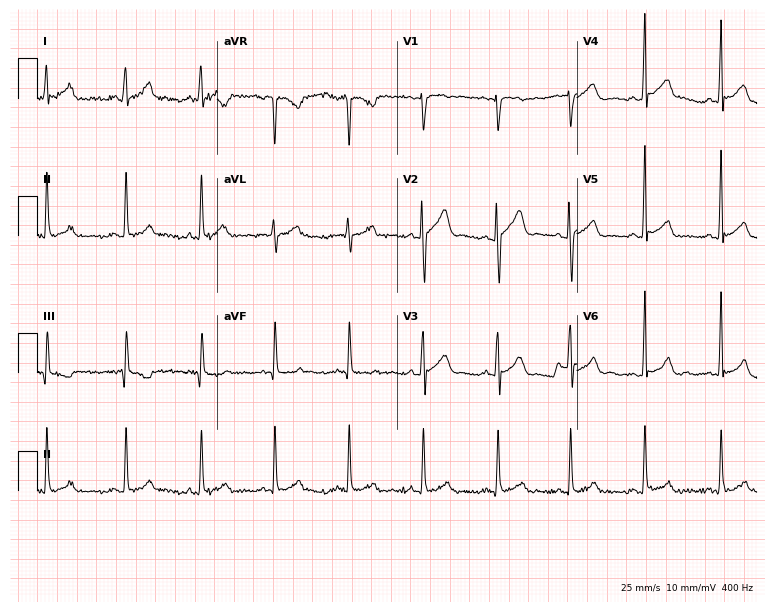
12-lead ECG from a male, 29 years old. Labelled as a normal ECG.